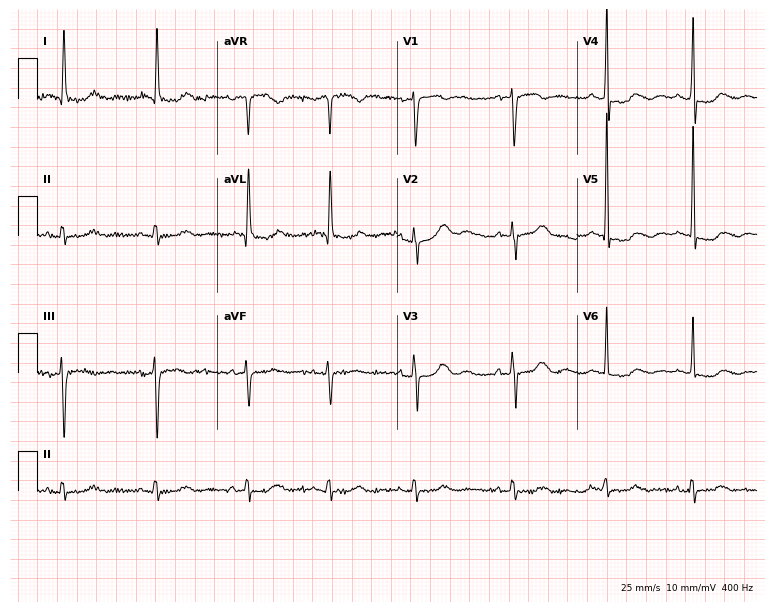
12-lead ECG from a 78-year-old woman. Screened for six findings — first-degree AV block, right bundle branch block, left bundle branch block, sinus bradycardia, atrial fibrillation, sinus tachycardia — none is recorded. Other findings, if any, are not listed.